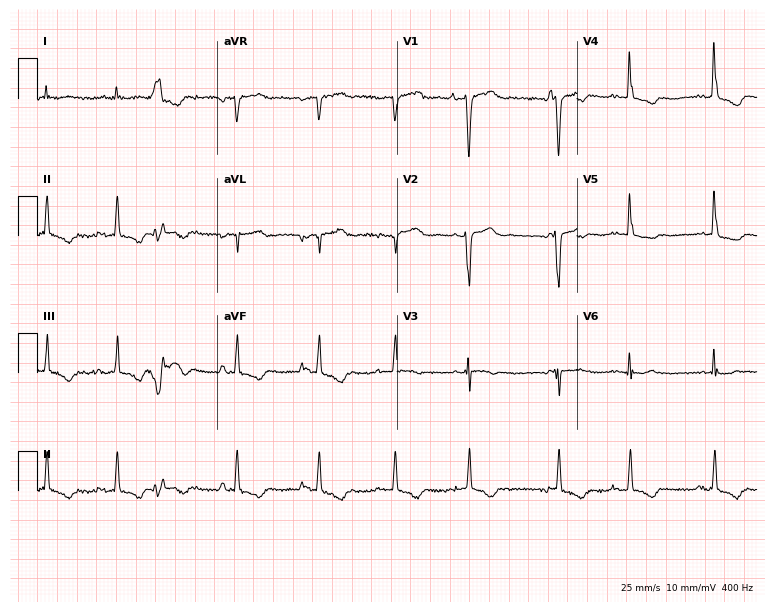
12-lead ECG from a 50-year-old male (7.3-second recording at 400 Hz). No first-degree AV block, right bundle branch block, left bundle branch block, sinus bradycardia, atrial fibrillation or sinus tachycardia recorded for this tracing.